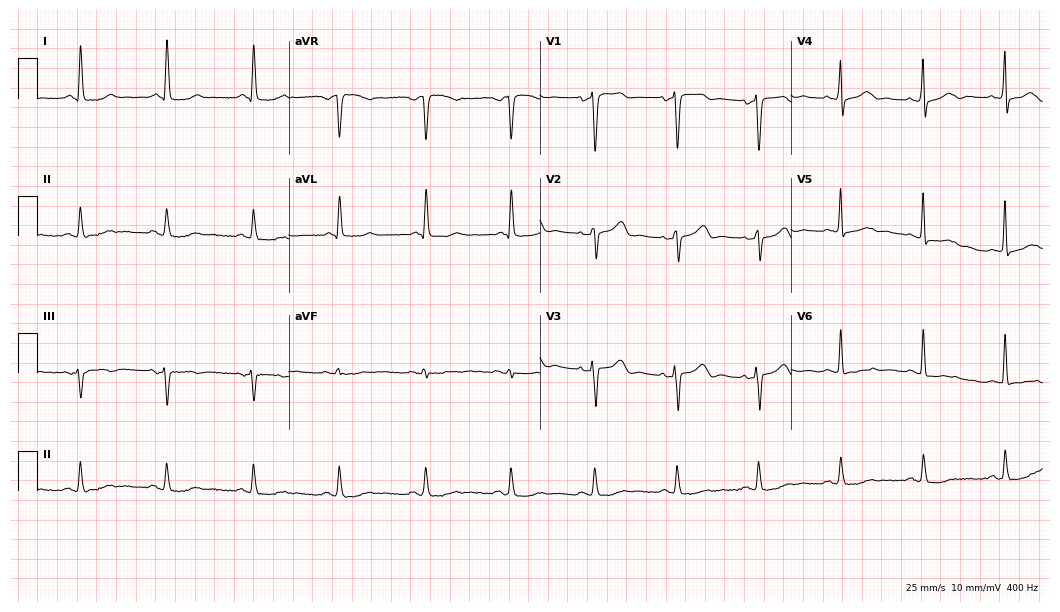
Electrocardiogram, a 79-year-old woman. Of the six screened findings (first-degree AV block, right bundle branch block (RBBB), left bundle branch block (LBBB), sinus bradycardia, atrial fibrillation (AF), sinus tachycardia), none is recorded. Only these six findings were labelled.